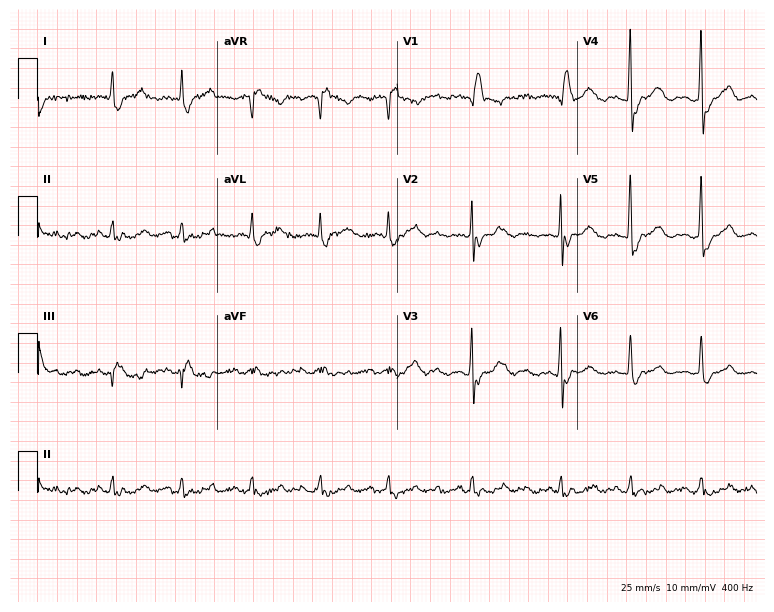
Standard 12-lead ECG recorded from a 75-year-old man. The tracing shows right bundle branch block (RBBB), atrial fibrillation (AF).